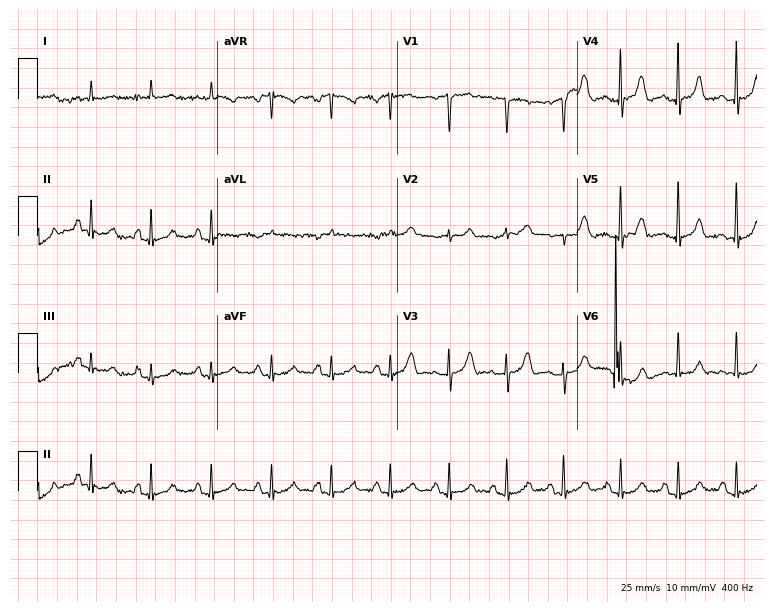
Resting 12-lead electrocardiogram. Patient: a 54-year-old male. Read as a normal ECG.